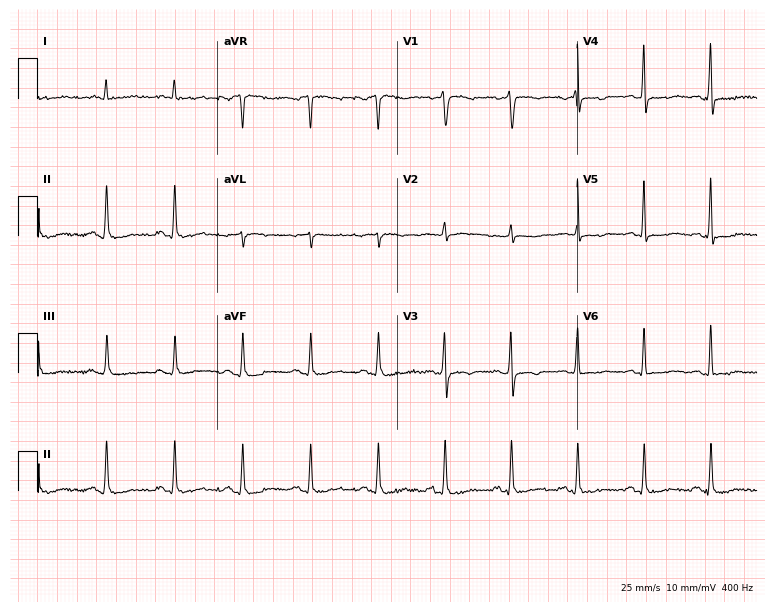
12-lead ECG from a 67-year-old male patient (7.3-second recording at 400 Hz). No first-degree AV block, right bundle branch block (RBBB), left bundle branch block (LBBB), sinus bradycardia, atrial fibrillation (AF) or sinus tachycardia recorded for this tracing. Only these six findings were labelled.